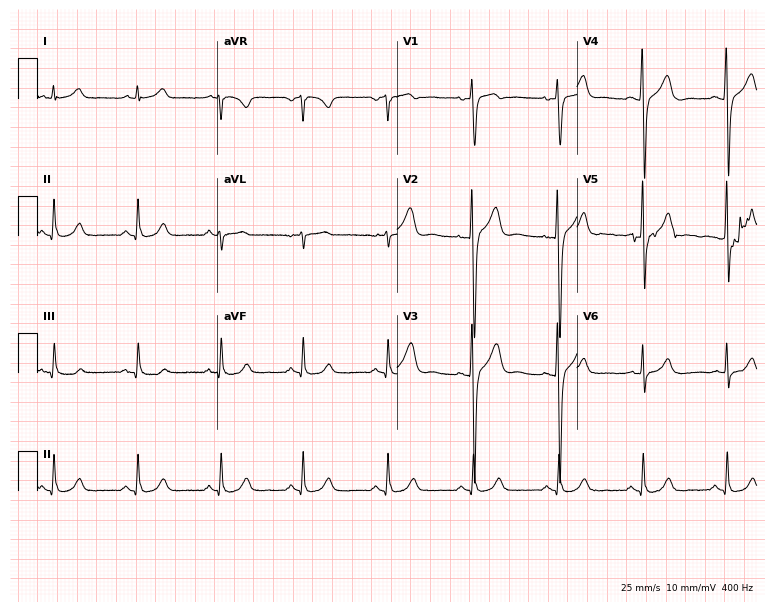
ECG (7.3-second recording at 400 Hz) — a man, 48 years old. Labelled as a normal ECG.